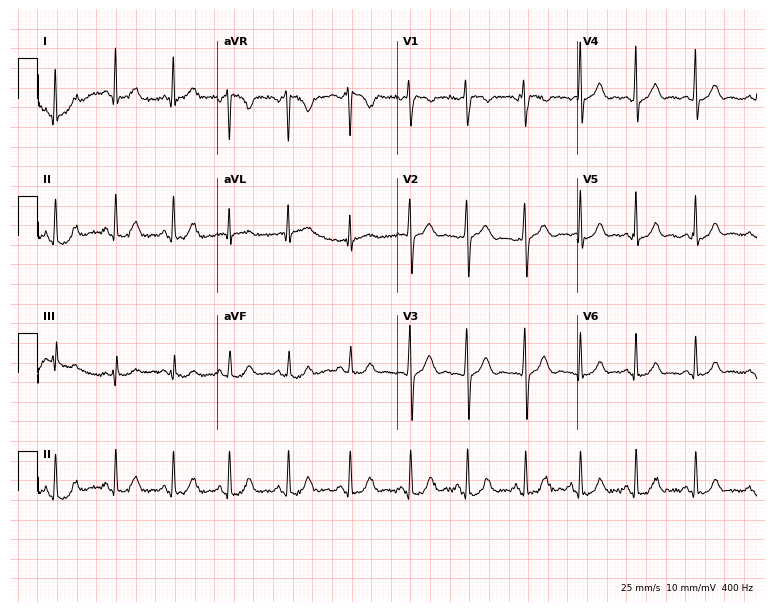
Resting 12-lead electrocardiogram (7.3-second recording at 400 Hz). Patient: a female, 26 years old. Read as a normal ECG.